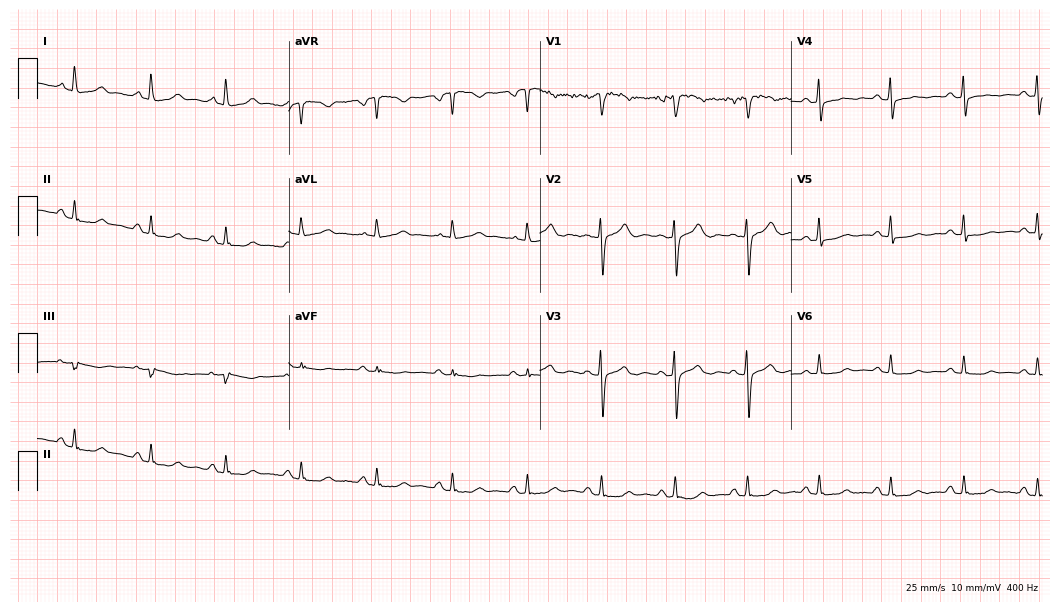
ECG — a female patient, 61 years old. Screened for six findings — first-degree AV block, right bundle branch block, left bundle branch block, sinus bradycardia, atrial fibrillation, sinus tachycardia — none is recorded.